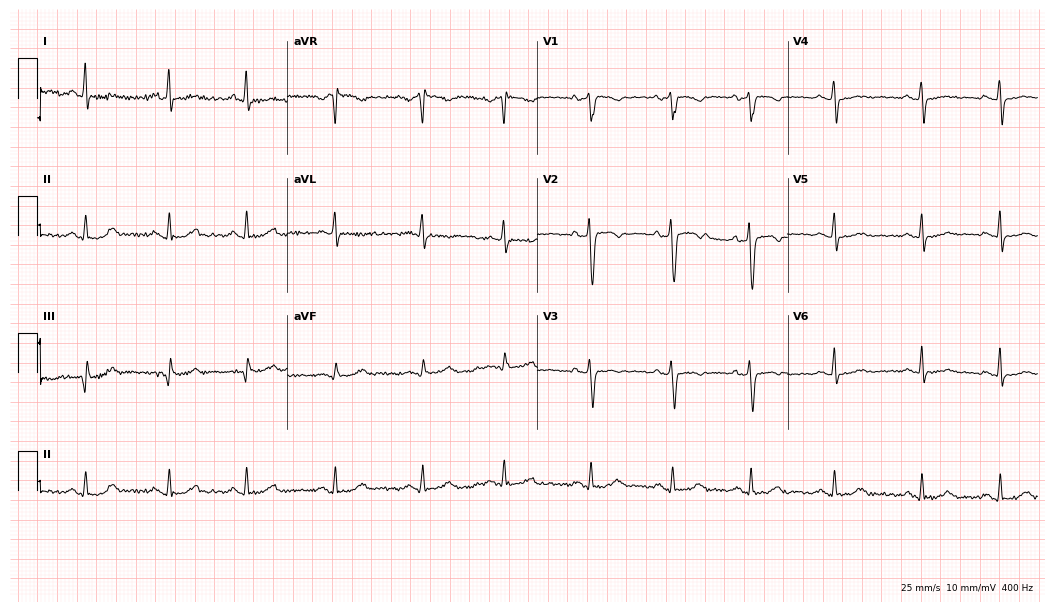
Resting 12-lead electrocardiogram. Patient: a female, 41 years old. None of these six findings is recorded: first-degree AV block, right bundle branch block, left bundle branch block, sinus bradycardia, atrial fibrillation, sinus tachycardia.